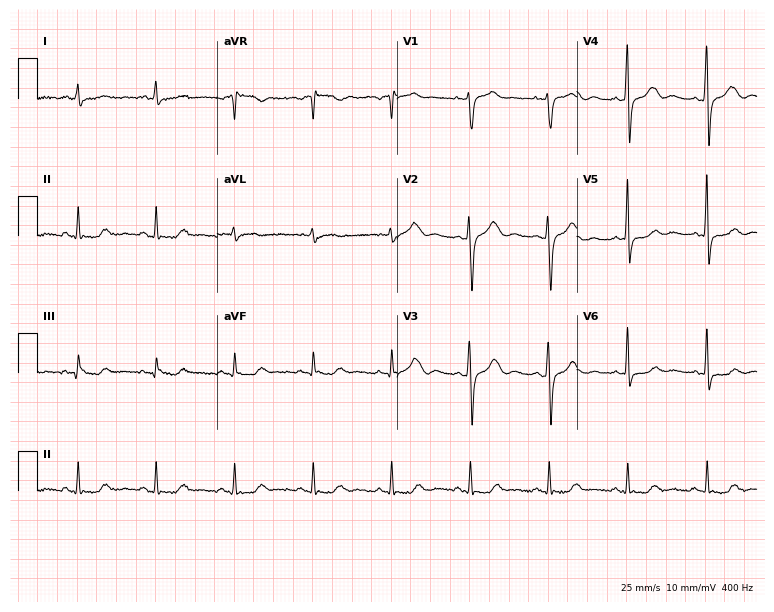
ECG — a 54-year-old woman. Screened for six findings — first-degree AV block, right bundle branch block, left bundle branch block, sinus bradycardia, atrial fibrillation, sinus tachycardia — none is recorded. Only these six findings were labelled.